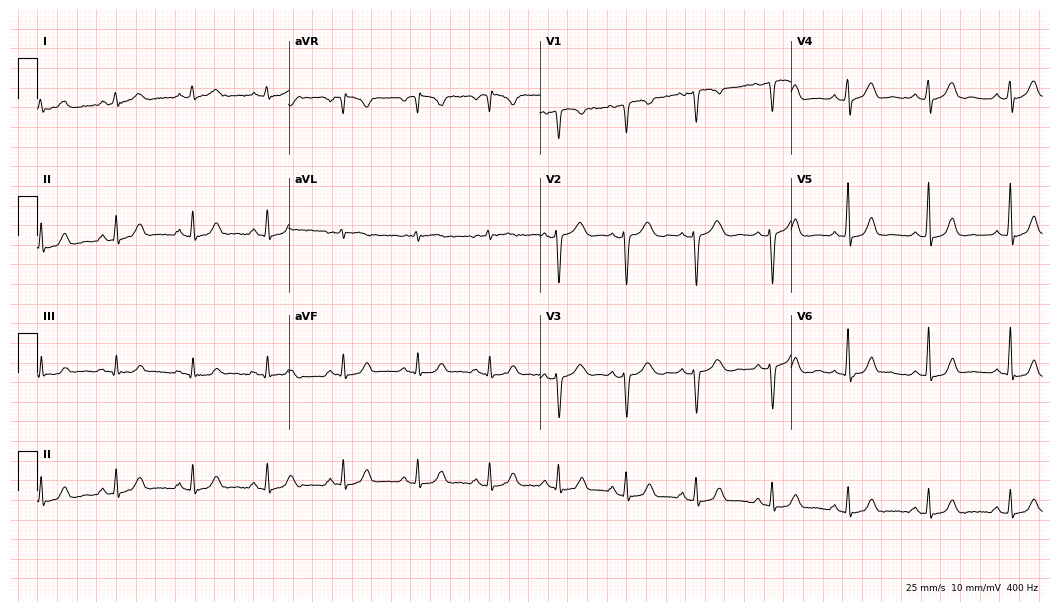
12-lead ECG from a 37-year-old woman. Screened for six findings — first-degree AV block, right bundle branch block, left bundle branch block, sinus bradycardia, atrial fibrillation, sinus tachycardia — none is recorded. Only these six findings were labelled.